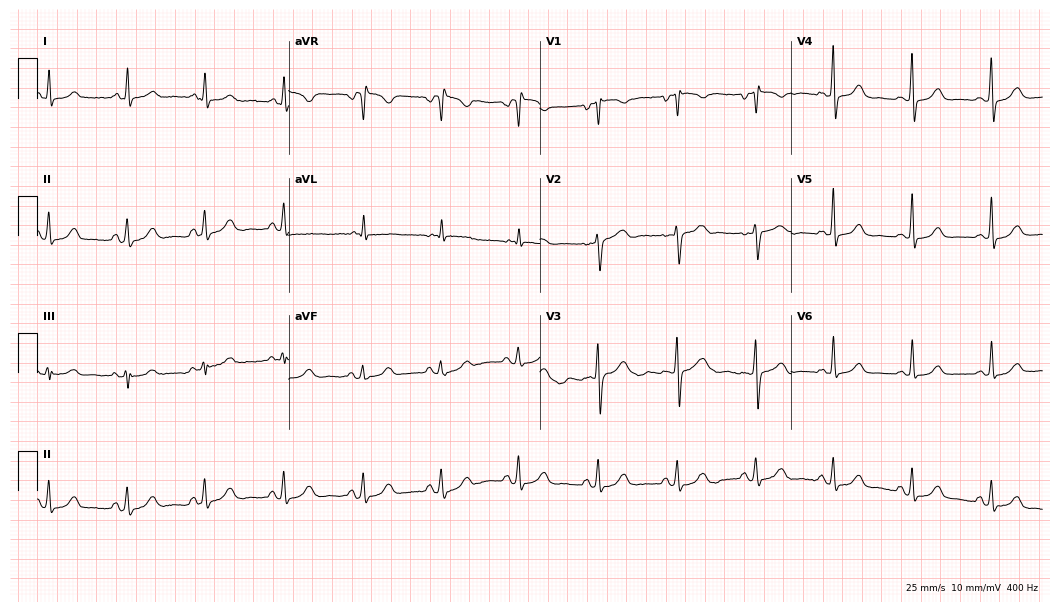
Standard 12-lead ECG recorded from a 49-year-old woman (10.2-second recording at 400 Hz). None of these six findings is recorded: first-degree AV block, right bundle branch block, left bundle branch block, sinus bradycardia, atrial fibrillation, sinus tachycardia.